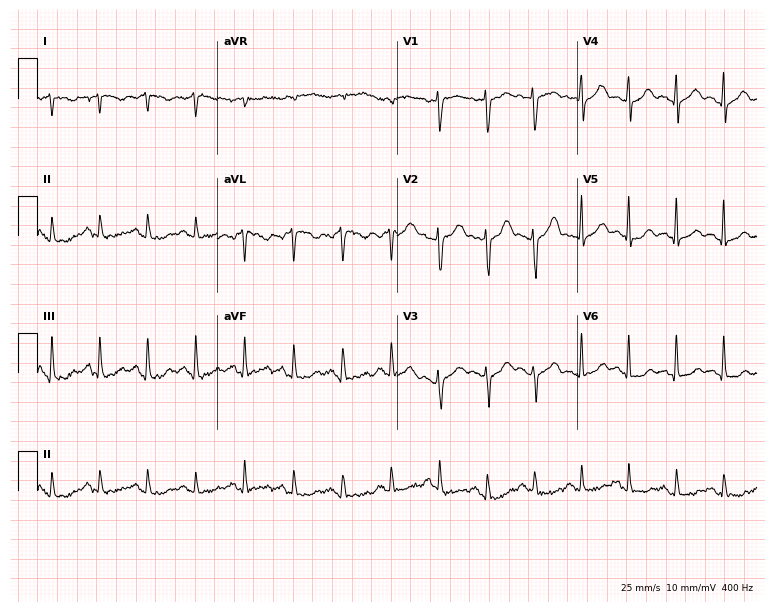
Resting 12-lead electrocardiogram (7.3-second recording at 400 Hz). Patient: a woman, 39 years old. None of these six findings is recorded: first-degree AV block, right bundle branch block (RBBB), left bundle branch block (LBBB), sinus bradycardia, atrial fibrillation (AF), sinus tachycardia.